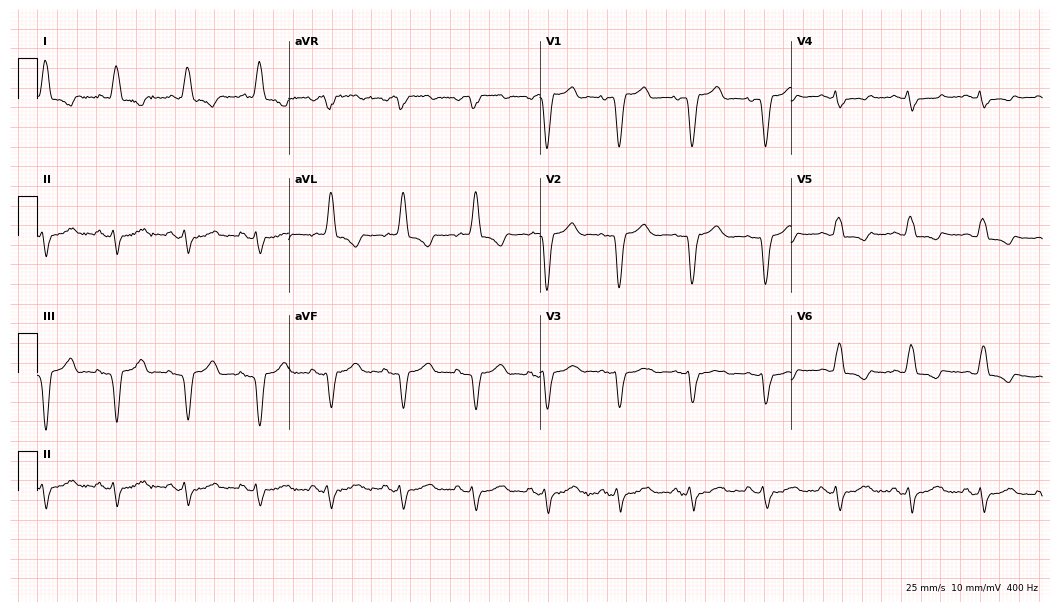
Resting 12-lead electrocardiogram. Patient: a female, 69 years old. The tracing shows left bundle branch block.